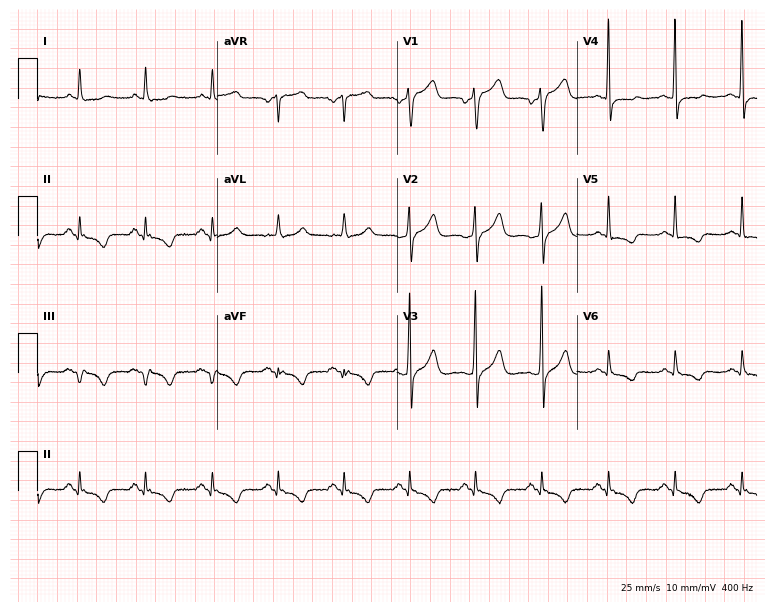
Resting 12-lead electrocardiogram. Patient: a 68-year-old male. None of these six findings is recorded: first-degree AV block, right bundle branch block, left bundle branch block, sinus bradycardia, atrial fibrillation, sinus tachycardia.